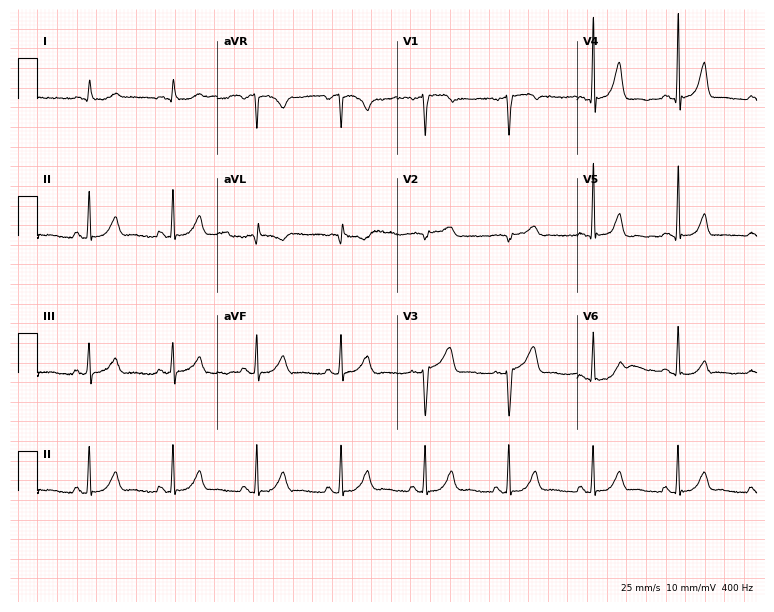
ECG (7.3-second recording at 400 Hz) — a man, 58 years old. Labelled as a normal ECG.